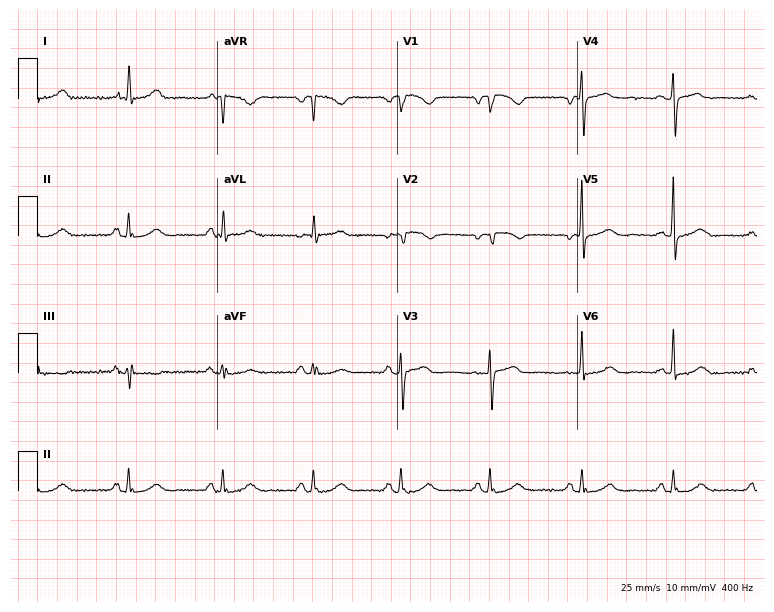
Standard 12-lead ECG recorded from a 67-year-old female patient. None of these six findings is recorded: first-degree AV block, right bundle branch block, left bundle branch block, sinus bradycardia, atrial fibrillation, sinus tachycardia. Findings outside these six are not listed.